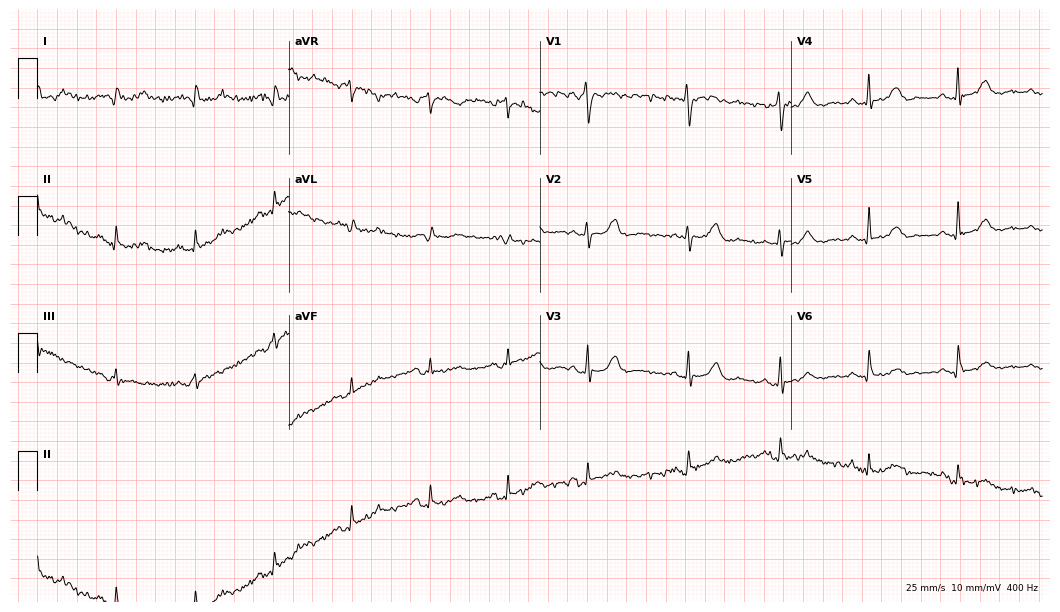
Standard 12-lead ECG recorded from a female, 76 years old. None of these six findings is recorded: first-degree AV block, right bundle branch block, left bundle branch block, sinus bradycardia, atrial fibrillation, sinus tachycardia.